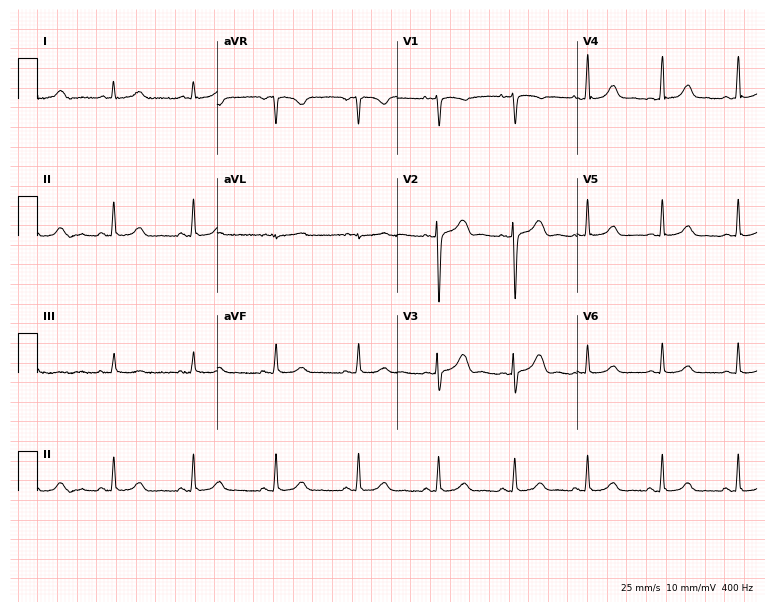
12-lead ECG from a 37-year-old woman. Screened for six findings — first-degree AV block, right bundle branch block, left bundle branch block, sinus bradycardia, atrial fibrillation, sinus tachycardia — none is recorded.